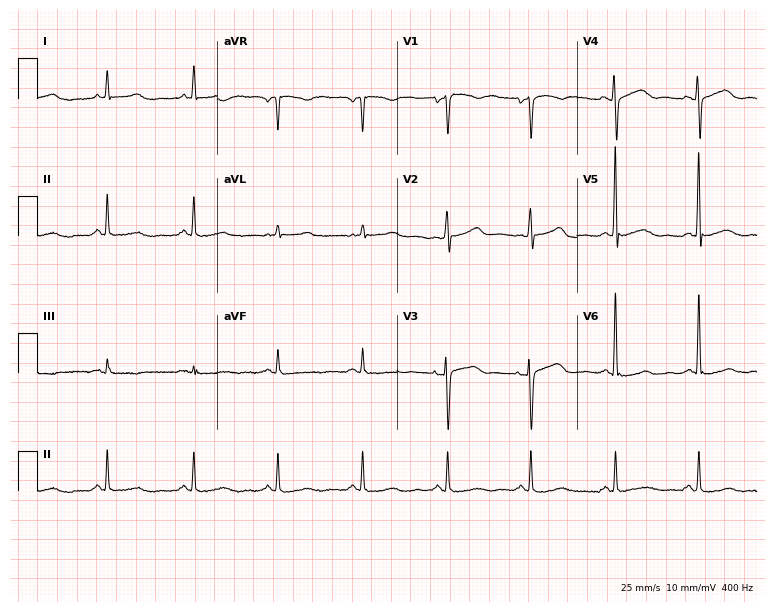
12-lead ECG from a 51-year-old female. Screened for six findings — first-degree AV block, right bundle branch block (RBBB), left bundle branch block (LBBB), sinus bradycardia, atrial fibrillation (AF), sinus tachycardia — none is recorded. Findings outside these six are not listed.